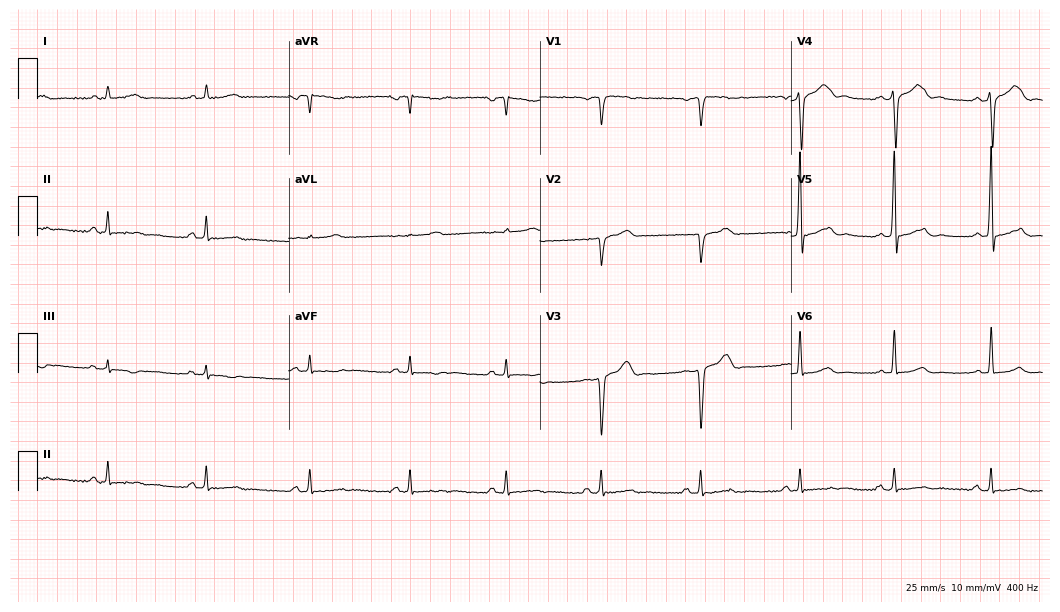
12-lead ECG from a male patient, 34 years old. Screened for six findings — first-degree AV block, right bundle branch block, left bundle branch block, sinus bradycardia, atrial fibrillation, sinus tachycardia — none is recorded.